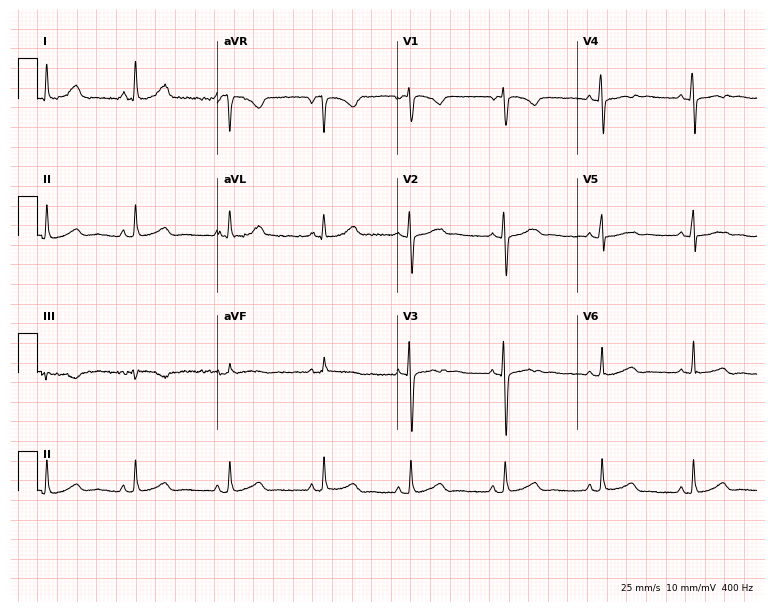
Resting 12-lead electrocardiogram. Patient: an 18-year-old female. Read as a normal ECG.